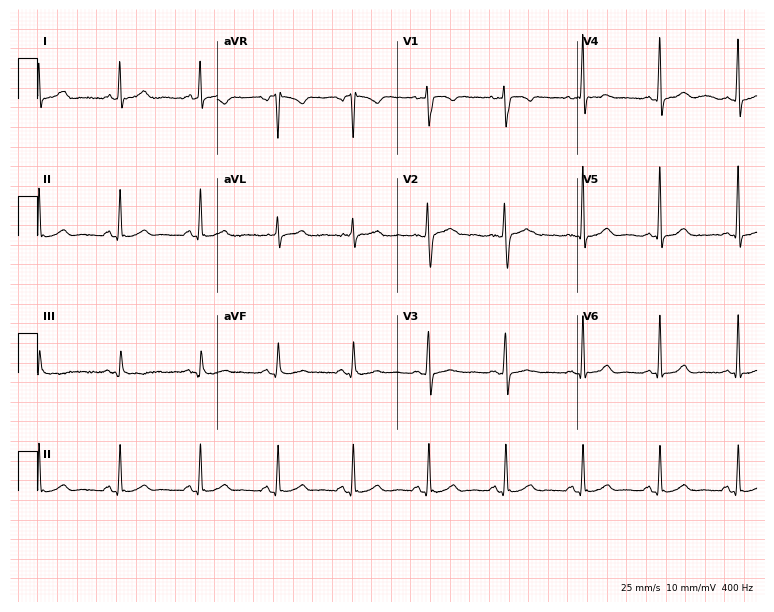
12-lead ECG from a 42-year-old female patient. No first-degree AV block, right bundle branch block, left bundle branch block, sinus bradycardia, atrial fibrillation or sinus tachycardia recorded for this tracing.